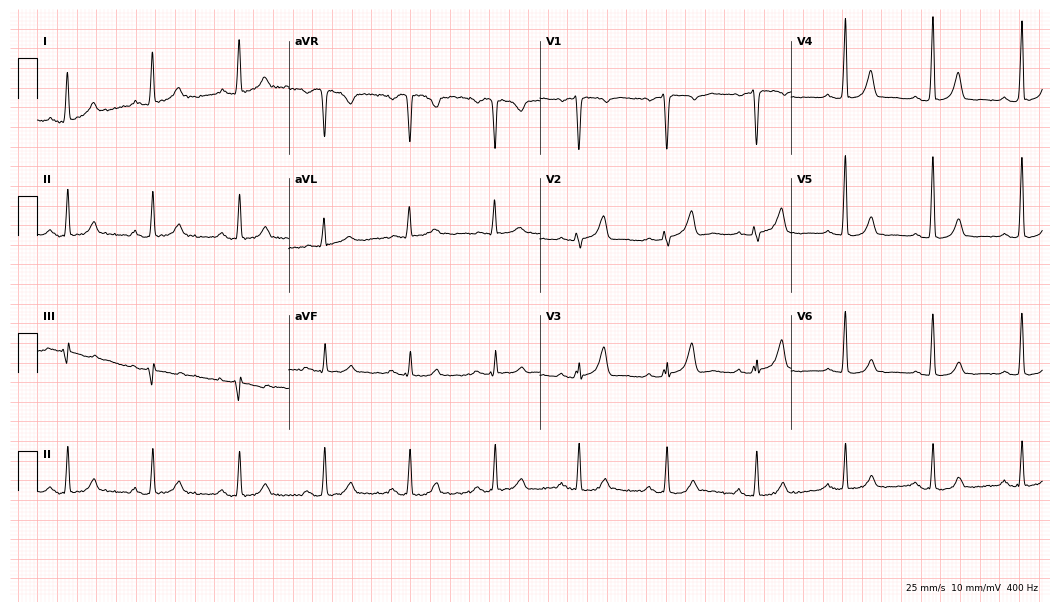
Electrocardiogram (10.2-second recording at 400 Hz), a female patient, 66 years old. Overall reading on record: normal ECG.